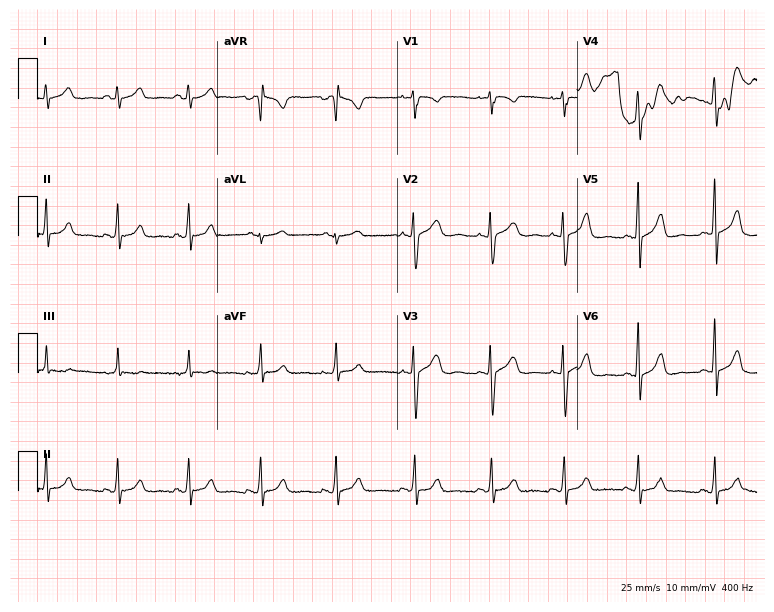
Resting 12-lead electrocardiogram (7.3-second recording at 400 Hz). Patient: an 18-year-old female. None of these six findings is recorded: first-degree AV block, right bundle branch block, left bundle branch block, sinus bradycardia, atrial fibrillation, sinus tachycardia. Findings outside these six are not listed.